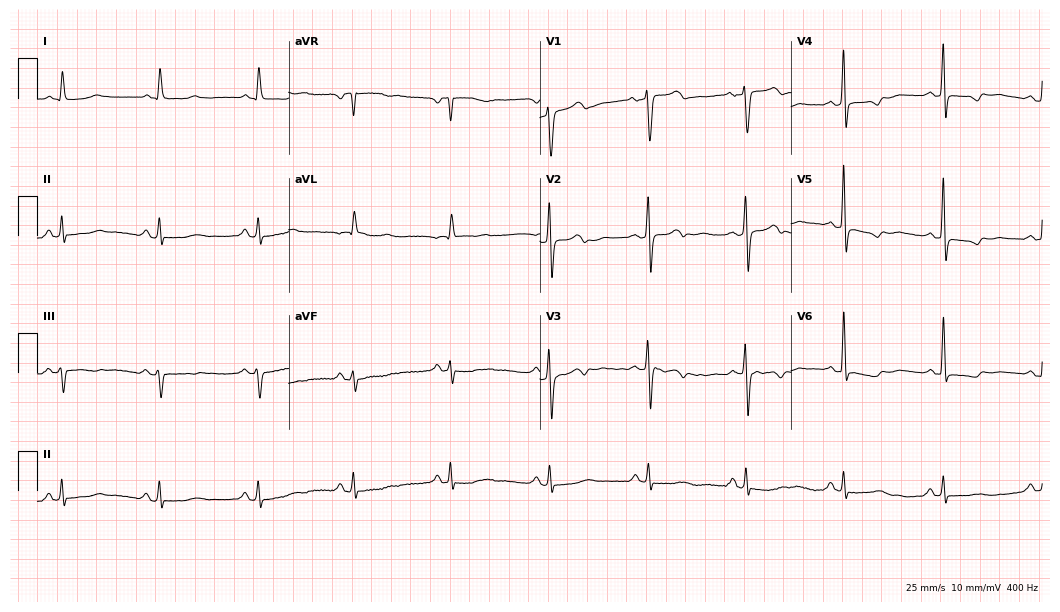
Resting 12-lead electrocardiogram. Patient: a female, 76 years old. None of these six findings is recorded: first-degree AV block, right bundle branch block, left bundle branch block, sinus bradycardia, atrial fibrillation, sinus tachycardia. Other findings, if any, are not listed.